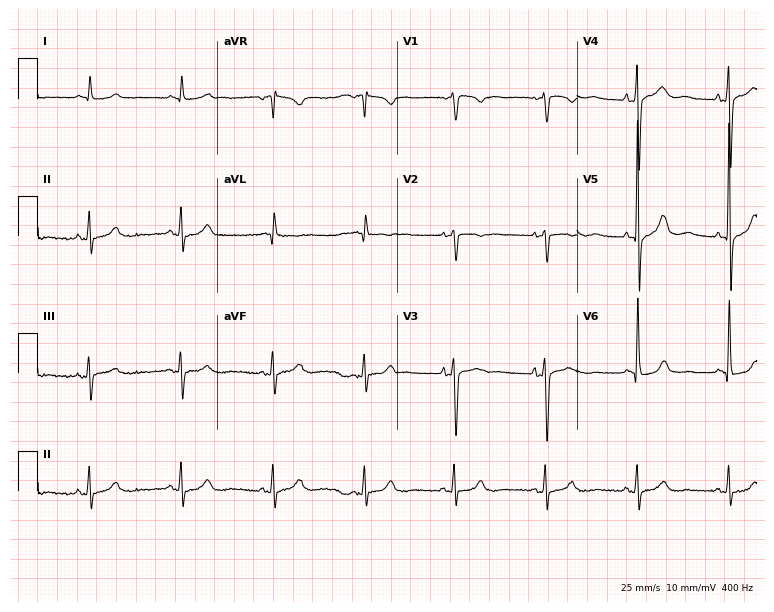
Standard 12-lead ECG recorded from a 69-year-old female patient. Read as a normal ECG.